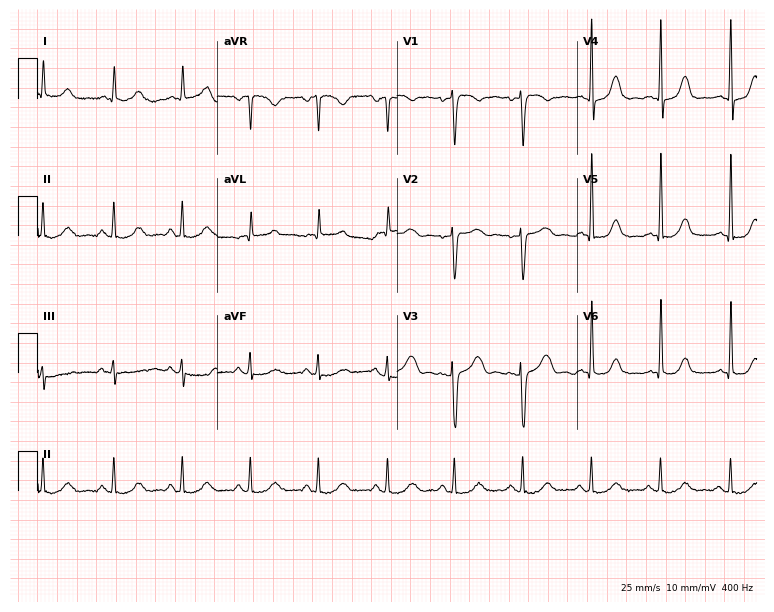
Standard 12-lead ECG recorded from a 49-year-old woman. Read as a normal ECG.